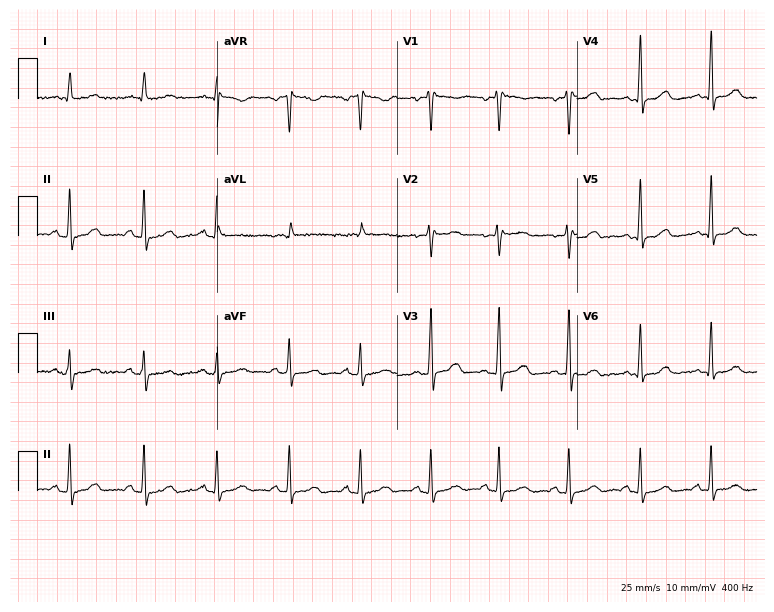
Resting 12-lead electrocardiogram. Patient: a woman, 36 years old. None of these six findings is recorded: first-degree AV block, right bundle branch block, left bundle branch block, sinus bradycardia, atrial fibrillation, sinus tachycardia.